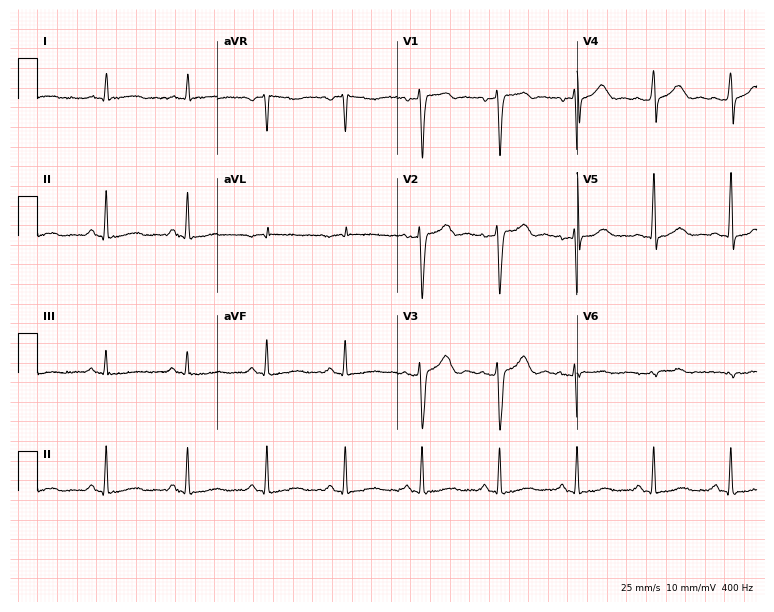
12-lead ECG from a male patient, 70 years old. Screened for six findings — first-degree AV block, right bundle branch block (RBBB), left bundle branch block (LBBB), sinus bradycardia, atrial fibrillation (AF), sinus tachycardia — none is recorded. Other findings, if any, are not listed.